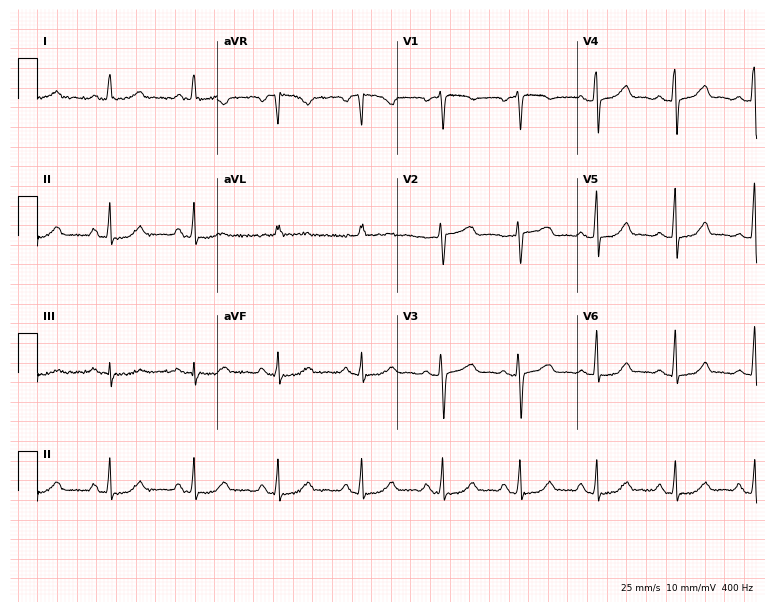
12-lead ECG from a 54-year-old female patient. Recorded interpretation: within normal limits.